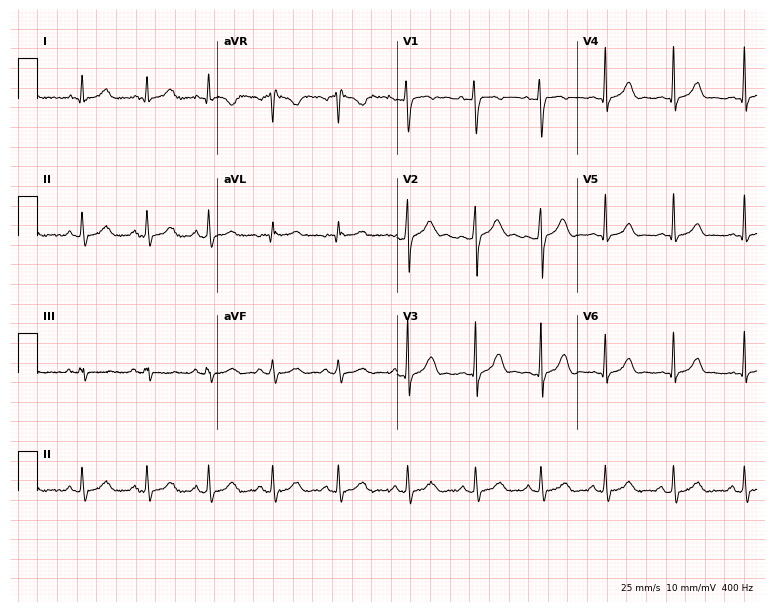
12-lead ECG from a female, 22 years old. Screened for six findings — first-degree AV block, right bundle branch block, left bundle branch block, sinus bradycardia, atrial fibrillation, sinus tachycardia — none is recorded.